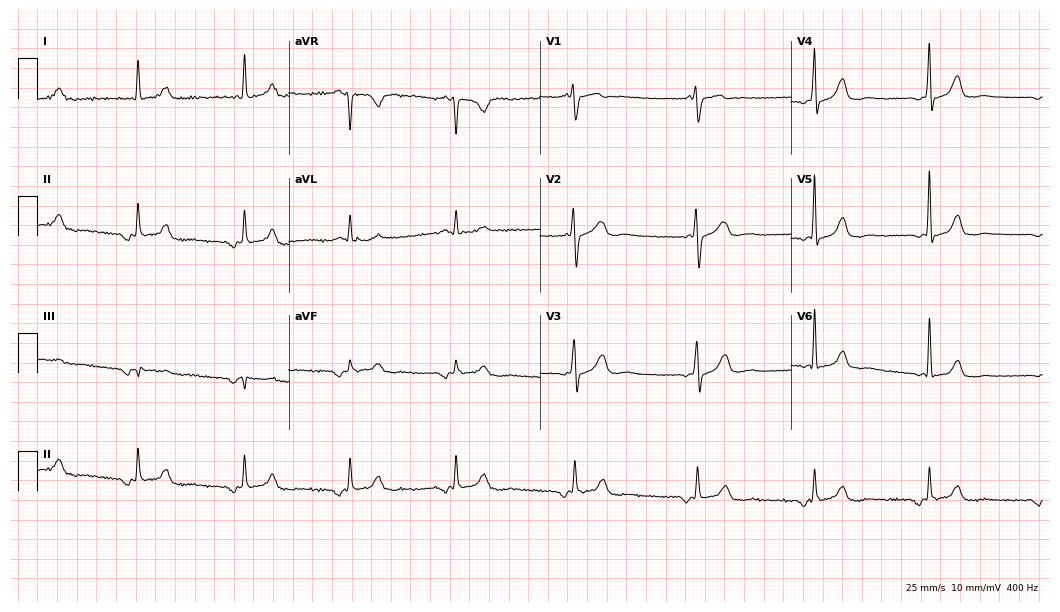
Resting 12-lead electrocardiogram. Patient: a female, 70 years old. None of these six findings is recorded: first-degree AV block, right bundle branch block, left bundle branch block, sinus bradycardia, atrial fibrillation, sinus tachycardia.